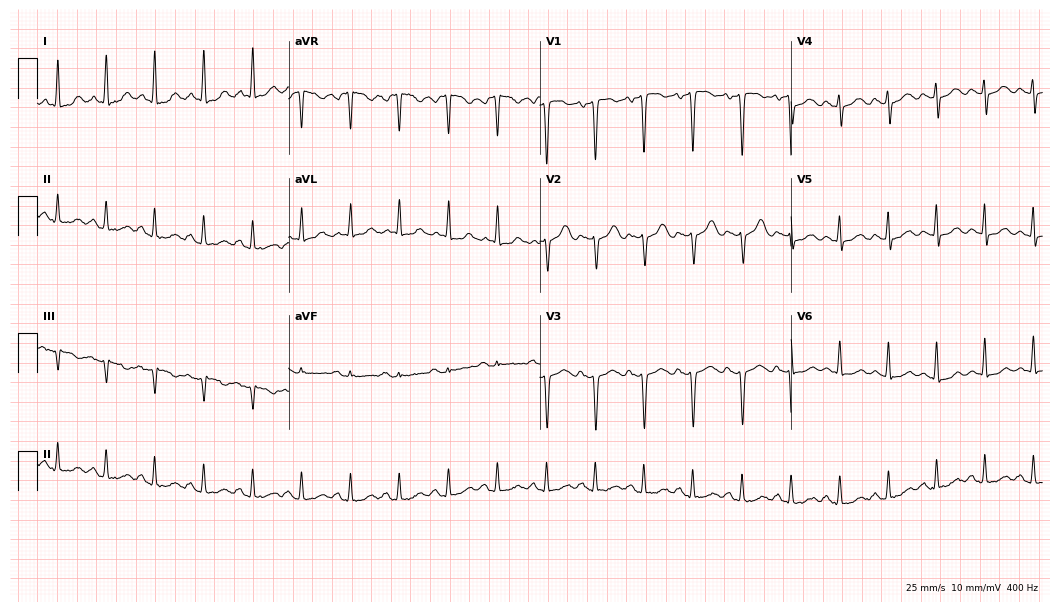
Electrocardiogram (10.2-second recording at 400 Hz), a female, 50 years old. Interpretation includes sinus tachycardia (a sinus rate of 100 beats per minute or more).